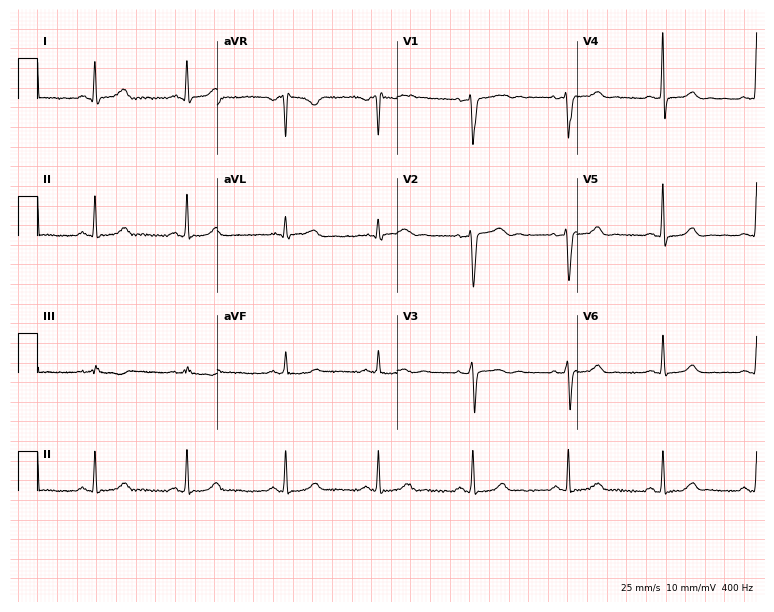
Resting 12-lead electrocardiogram (7.3-second recording at 400 Hz). Patient: a 29-year-old female. None of these six findings is recorded: first-degree AV block, right bundle branch block (RBBB), left bundle branch block (LBBB), sinus bradycardia, atrial fibrillation (AF), sinus tachycardia.